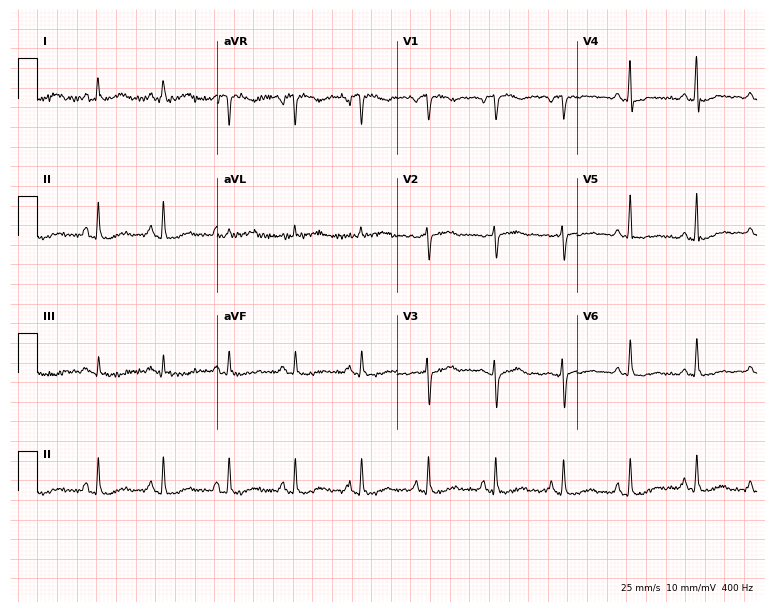
Resting 12-lead electrocardiogram. Patient: a female, 69 years old. None of these six findings is recorded: first-degree AV block, right bundle branch block, left bundle branch block, sinus bradycardia, atrial fibrillation, sinus tachycardia. Findings outside these six are not listed.